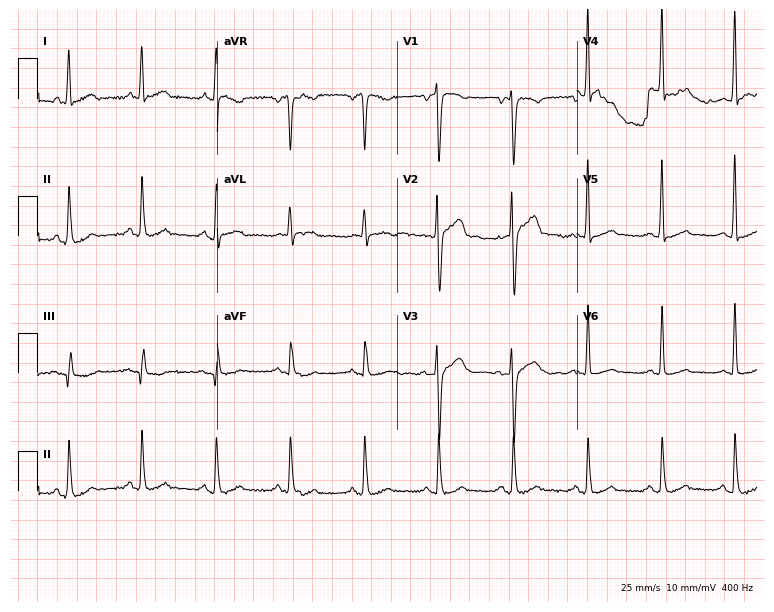
12-lead ECG from a 55-year-old male. Recorded interpretation: within normal limits.